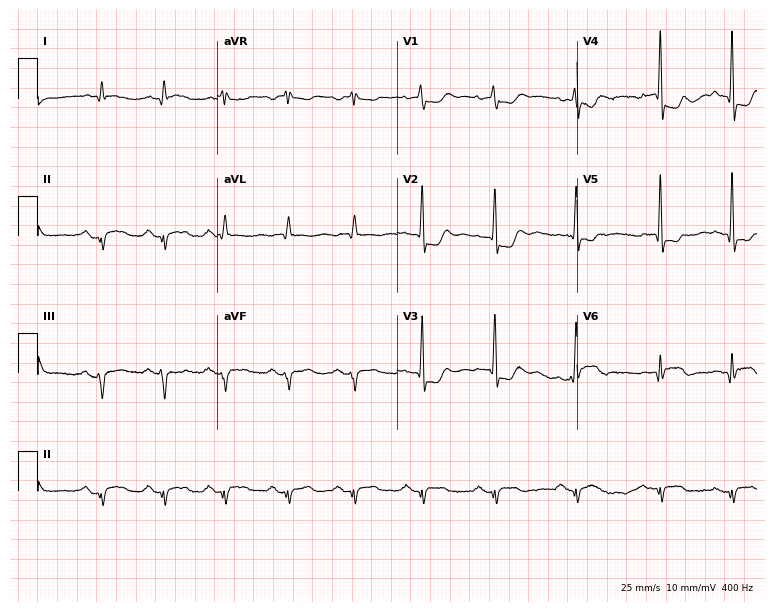
Standard 12-lead ECG recorded from a male, 85 years old (7.3-second recording at 400 Hz). None of these six findings is recorded: first-degree AV block, right bundle branch block (RBBB), left bundle branch block (LBBB), sinus bradycardia, atrial fibrillation (AF), sinus tachycardia.